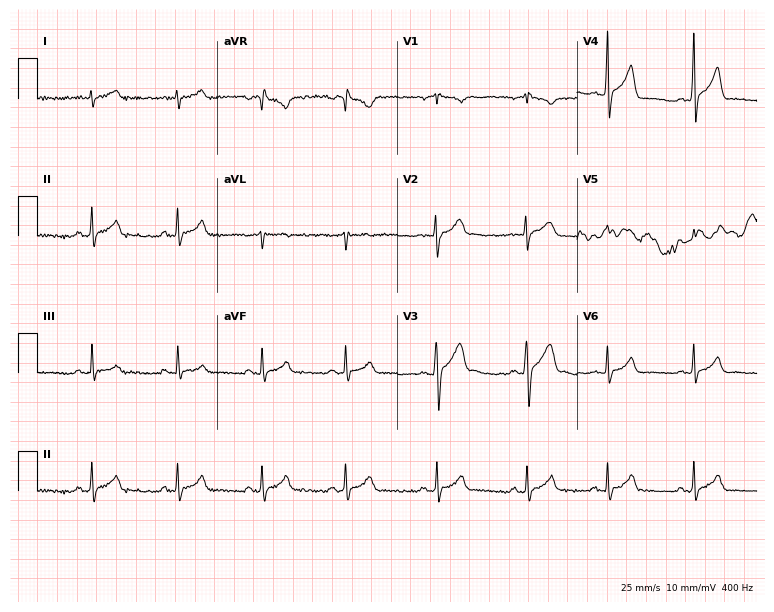
ECG — a 24-year-old male patient. Screened for six findings — first-degree AV block, right bundle branch block, left bundle branch block, sinus bradycardia, atrial fibrillation, sinus tachycardia — none is recorded.